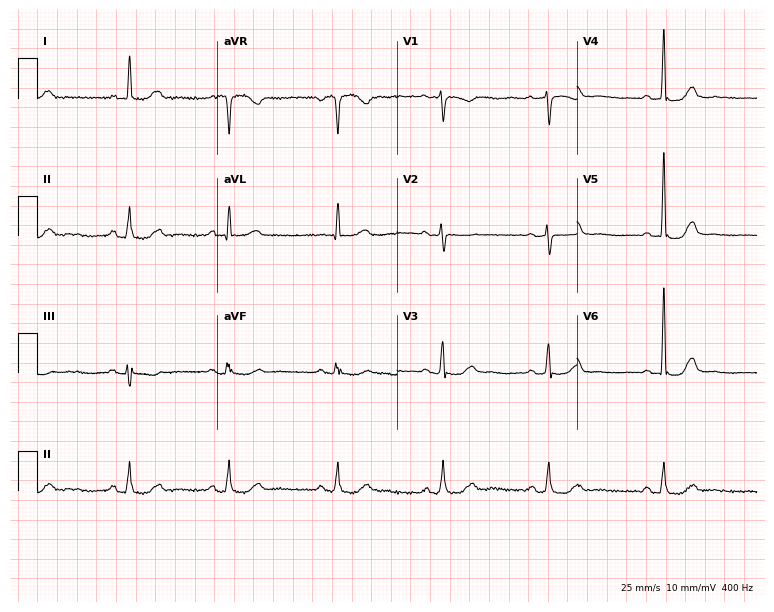
12-lead ECG from an 80-year-old woman (7.3-second recording at 400 Hz). Recorded interpretation: within normal limits.